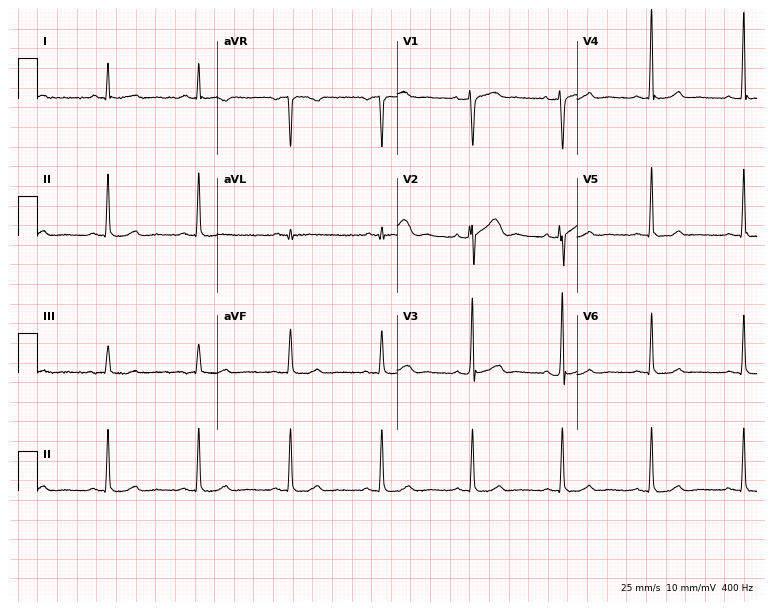
Resting 12-lead electrocardiogram (7.3-second recording at 400 Hz). Patient: a 39-year-old male. None of these six findings is recorded: first-degree AV block, right bundle branch block, left bundle branch block, sinus bradycardia, atrial fibrillation, sinus tachycardia. Only these six findings were labelled.